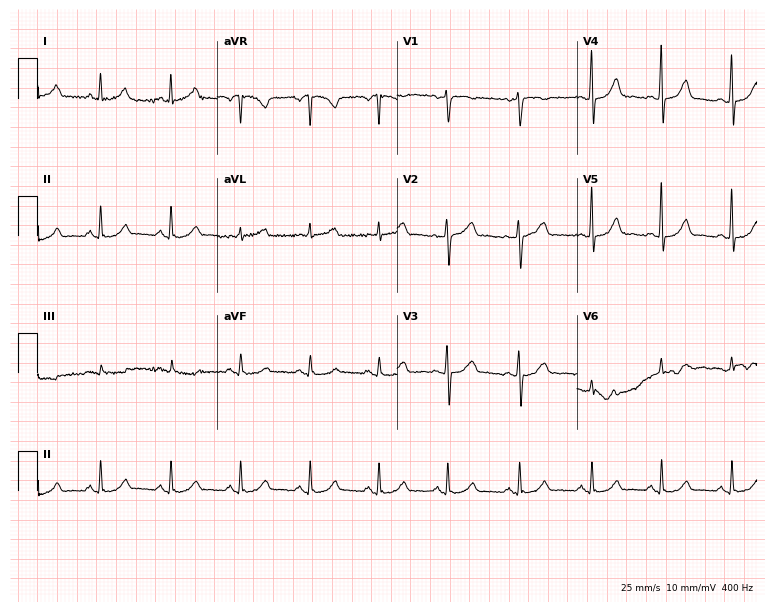
Standard 12-lead ECG recorded from a 40-year-old female. Read as a normal ECG.